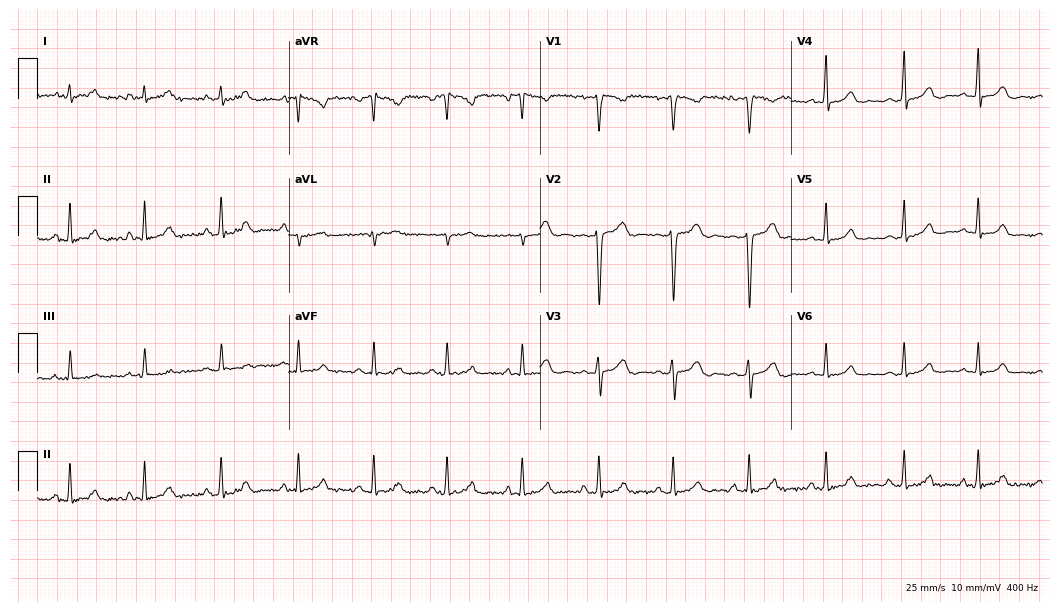
Resting 12-lead electrocardiogram. Patient: a 38-year-old female. None of these six findings is recorded: first-degree AV block, right bundle branch block, left bundle branch block, sinus bradycardia, atrial fibrillation, sinus tachycardia. Findings outside these six are not listed.